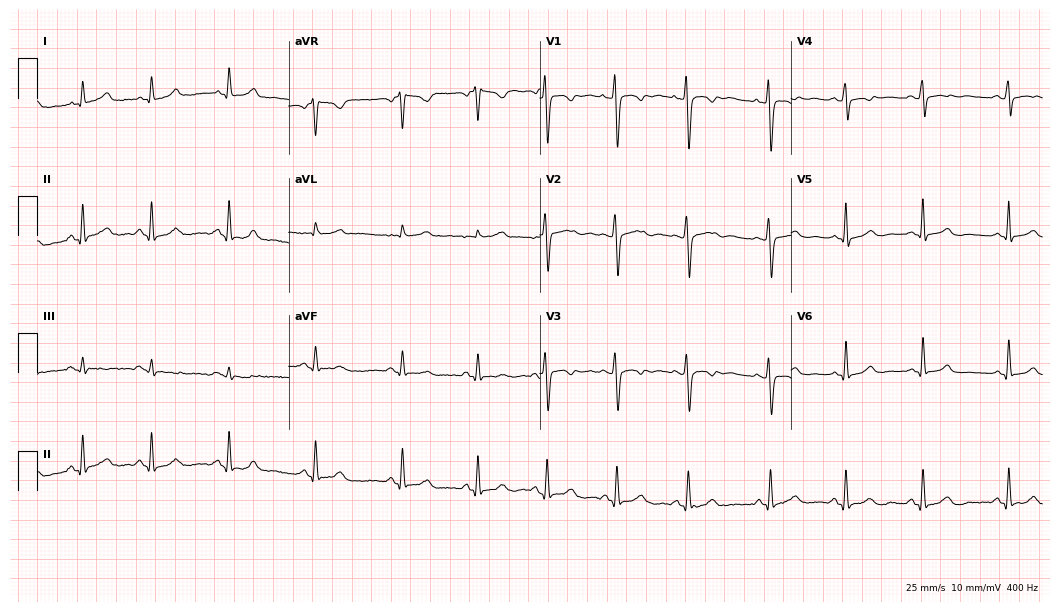
12-lead ECG from a female patient, 28 years old. Recorded interpretation: within normal limits.